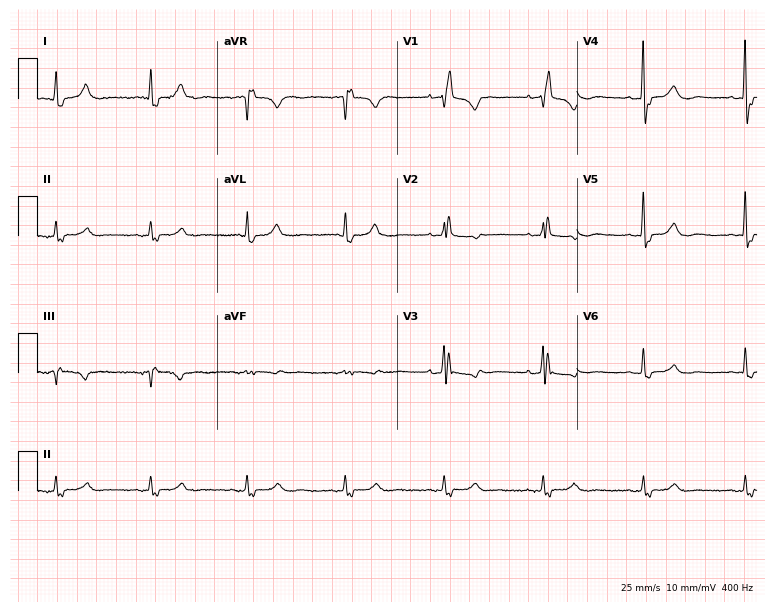
Standard 12-lead ECG recorded from a female, 79 years old (7.3-second recording at 400 Hz). The tracing shows right bundle branch block.